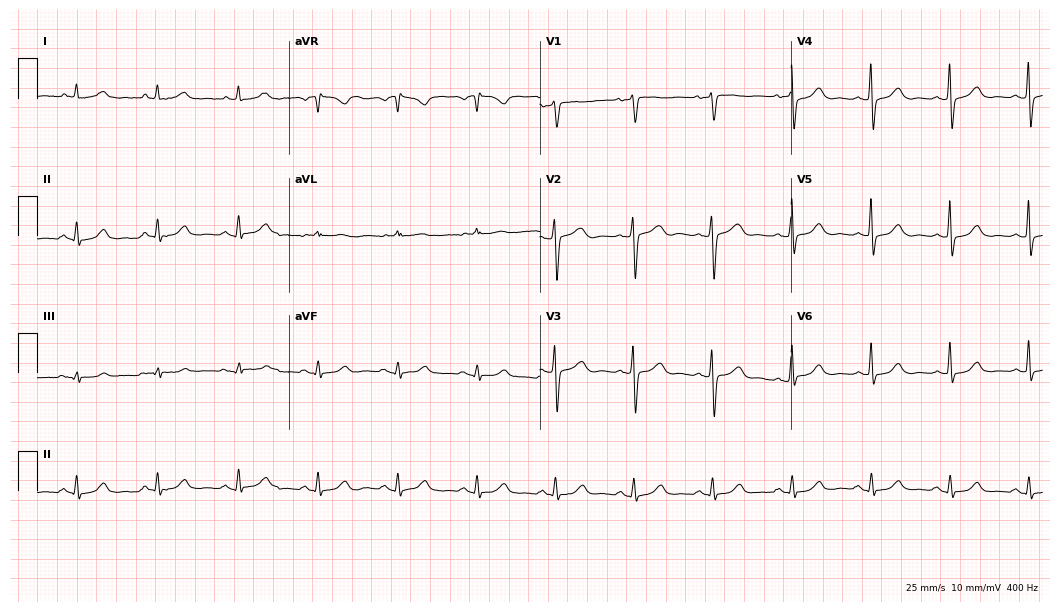
Resting 12-lead electrocardiogram. Patient: a 65-year-old male. Read as a normal ECG.